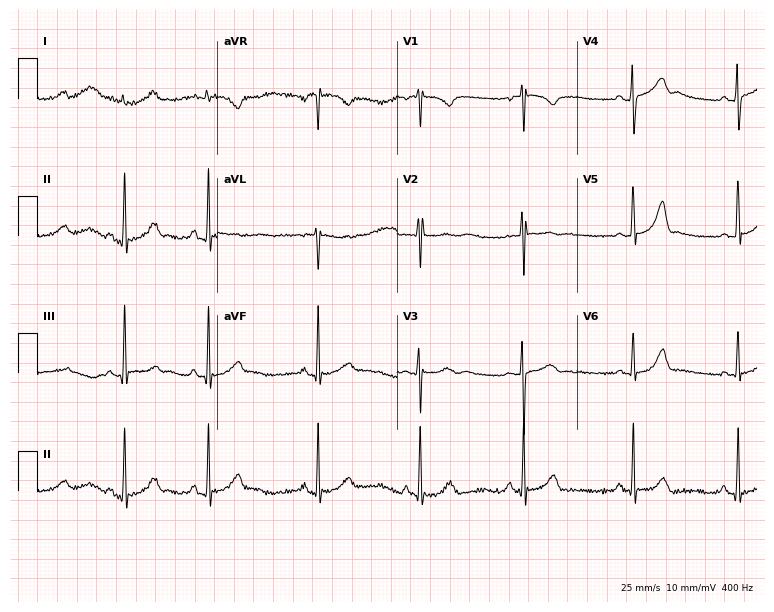
Electrocardiogram, a 17-year-old female patient. Overall reading on record: normal ECG.